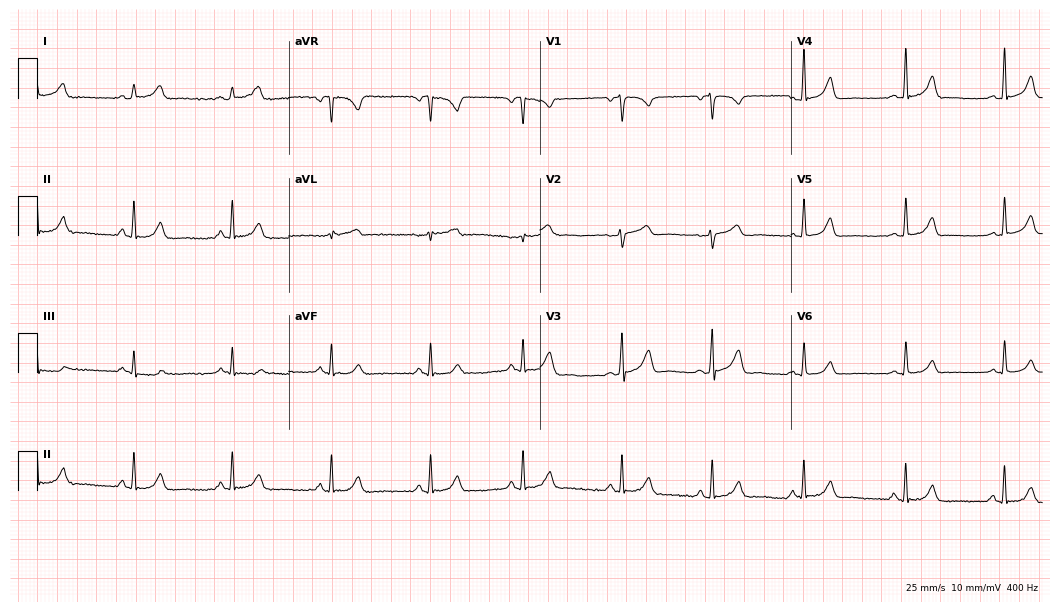
ECG (10.2-second recording at 400 Hz) — a 22-year-old female patient. Screened for six findings — first-degree AV block, right bundle branch block (RBBB), left bundle branch block (LBBB), sinus bradycardia, atrial fibrillation (AF), sinus tachycardia — none is recorded.